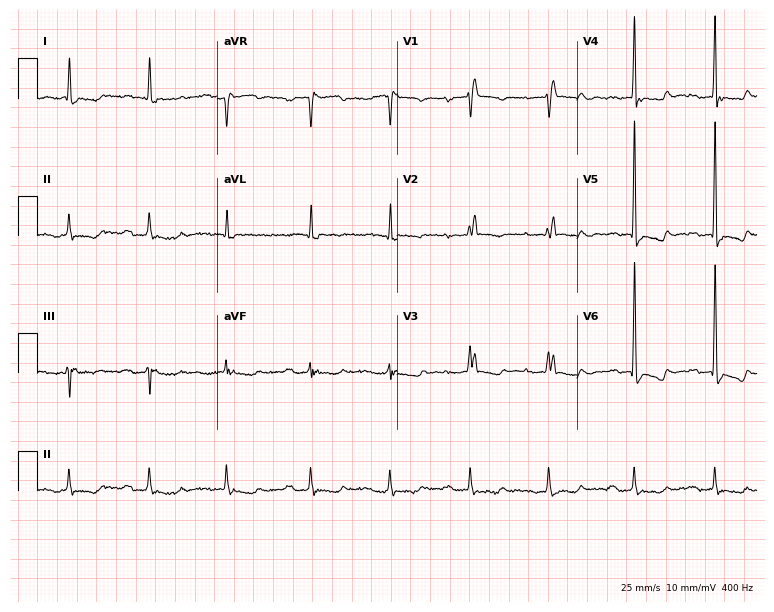
Standard 12-lead ECG recorded from a female, 82 years old. The tracing shows right bundle branch block (RBBB).